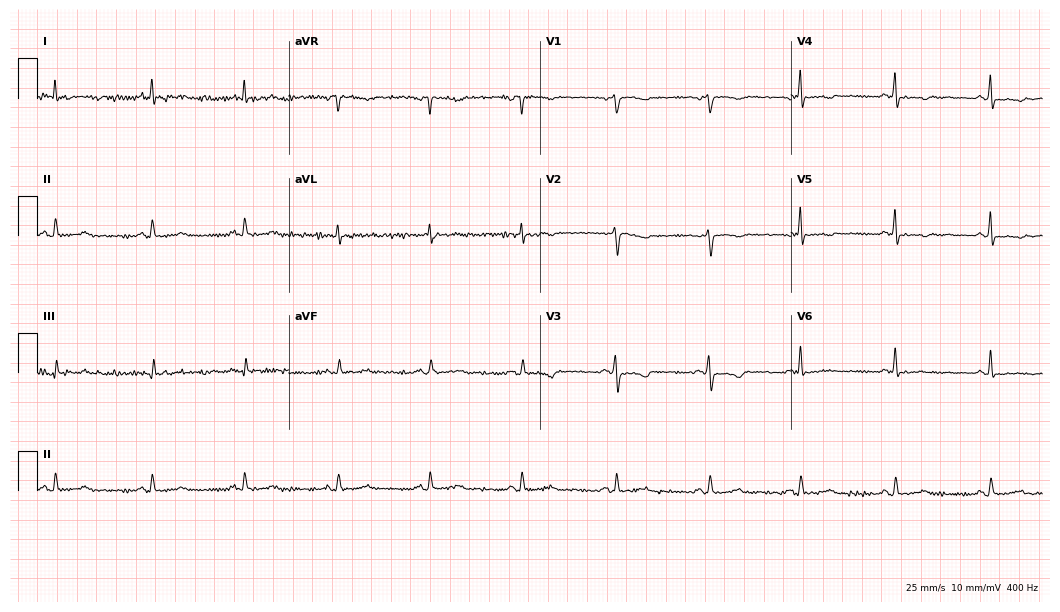
ECG (10.2-second recording at 400 Hz) — a 56-year-old female patient. Screened for six findings — first-degree AV block, right bundle branch block, left bundle branch block, sinus bradycardia, atrial fibrillation, sinus tachycardia — none is recorded.